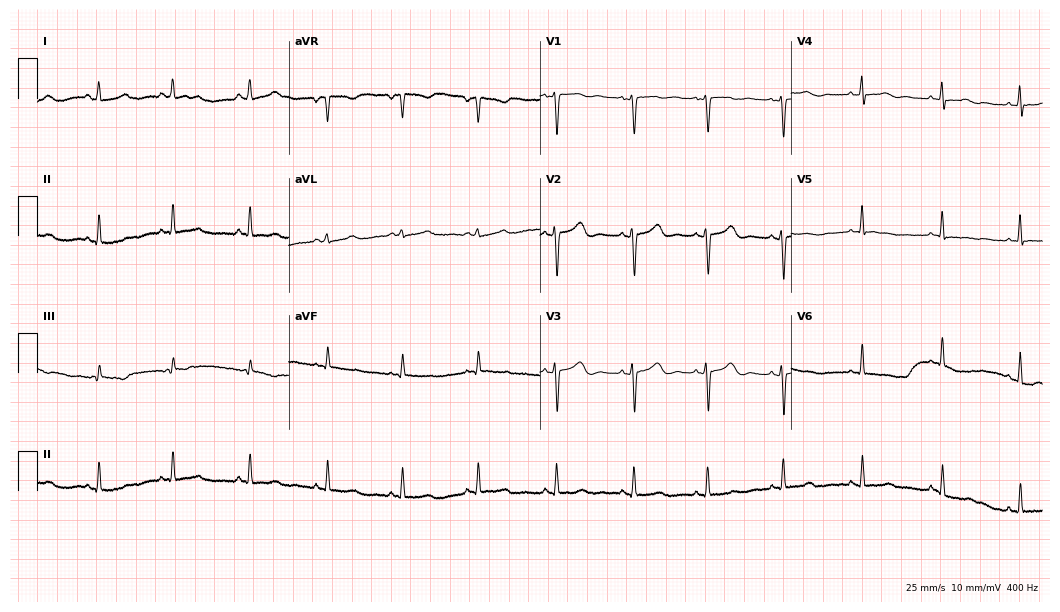
12-lead ECG from a 28-year-old woman. Labelled as a normal ECG.